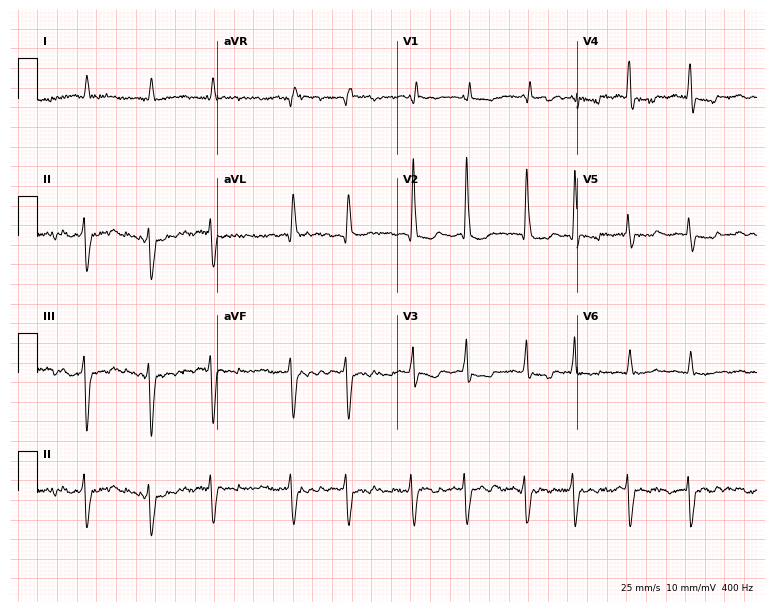
12-lead ECG from a female, 85 years old. Findings include atrial fibrillation.